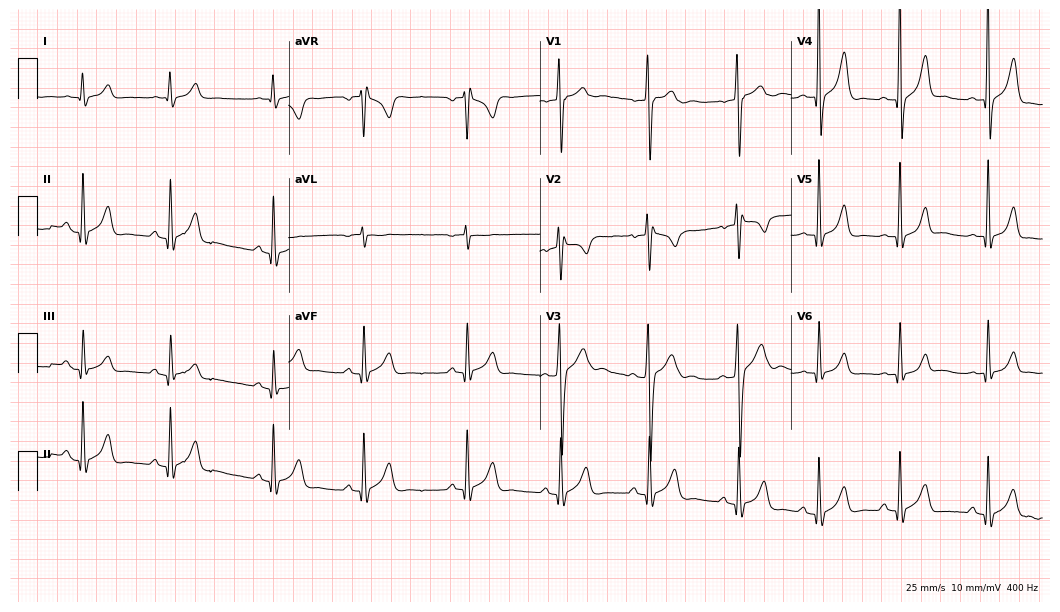
Resting 12-lead electrocardiogram. Patient: a 17-year-old man. Read as a normal ECG.